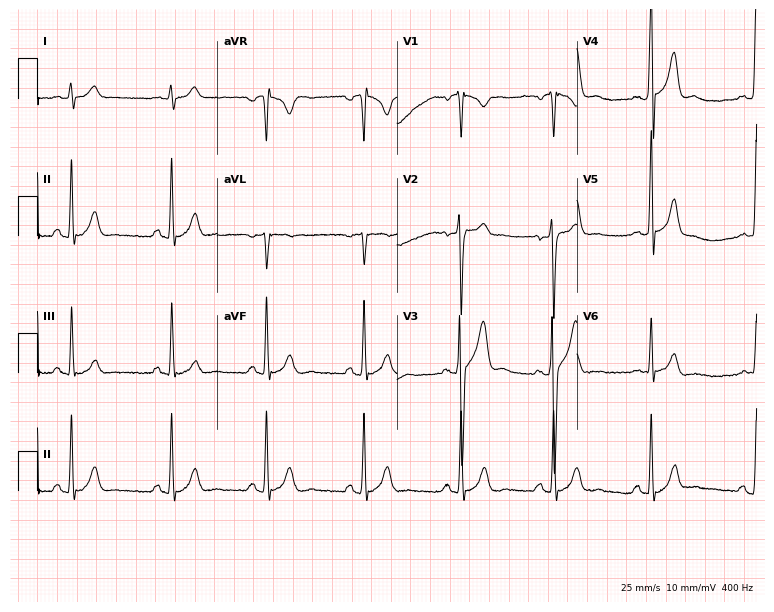
12-lead ECG from a man, 20 years old. Recorded interpretation: within normal limits.